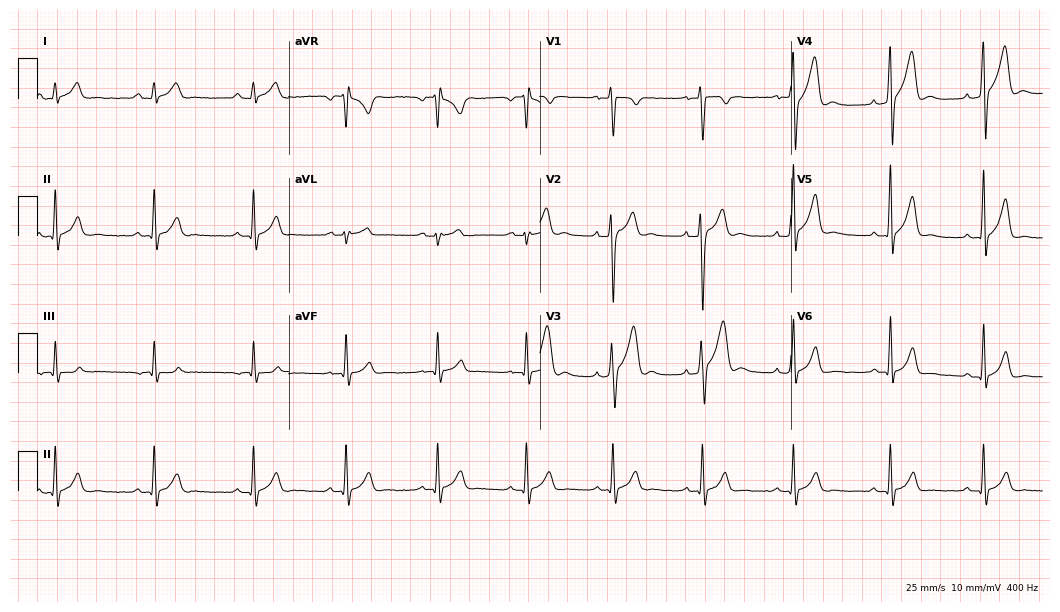
Resting 12-lead electrocardiogram (10.2-second recording at 400 Hz). Patient: a 20-year-old male. Read as a normal ECG.